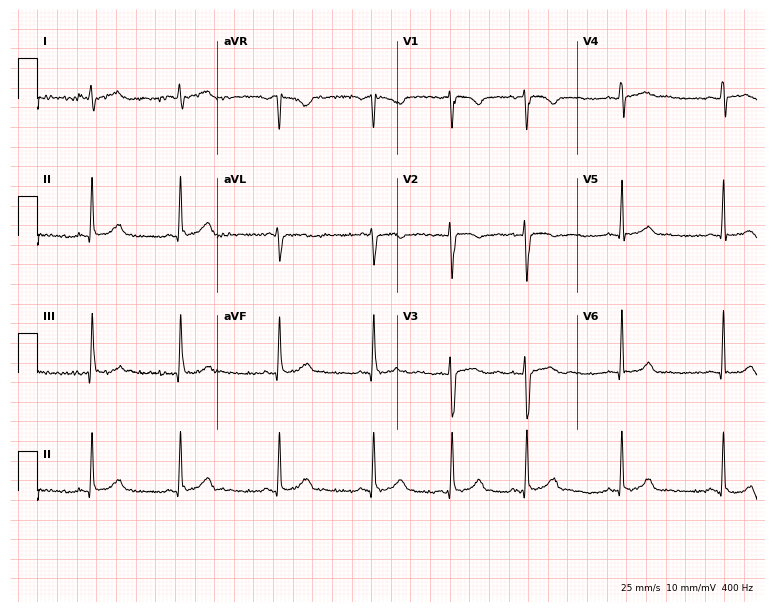
Electrocardiogram, a female patient, 17 years old. Overall reading on record: normal ECG.